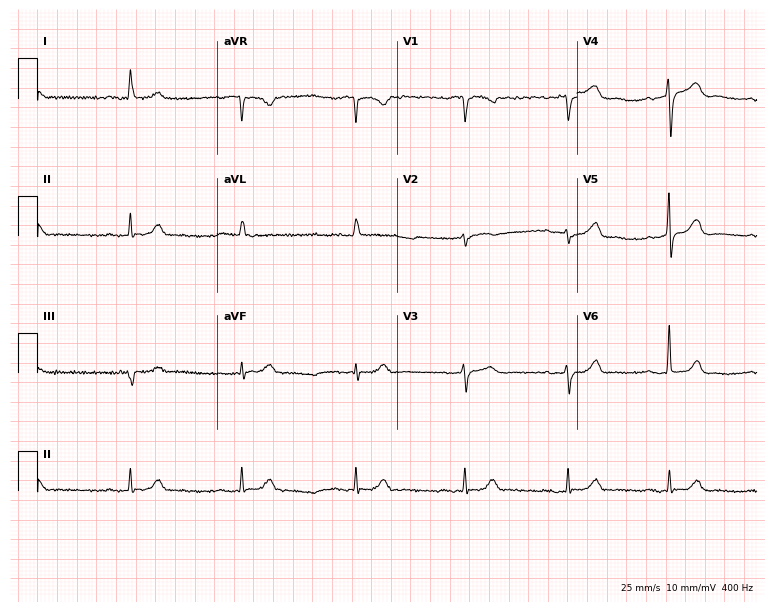
ECG — a 58-year-old man. Findings include first-degree AV block.